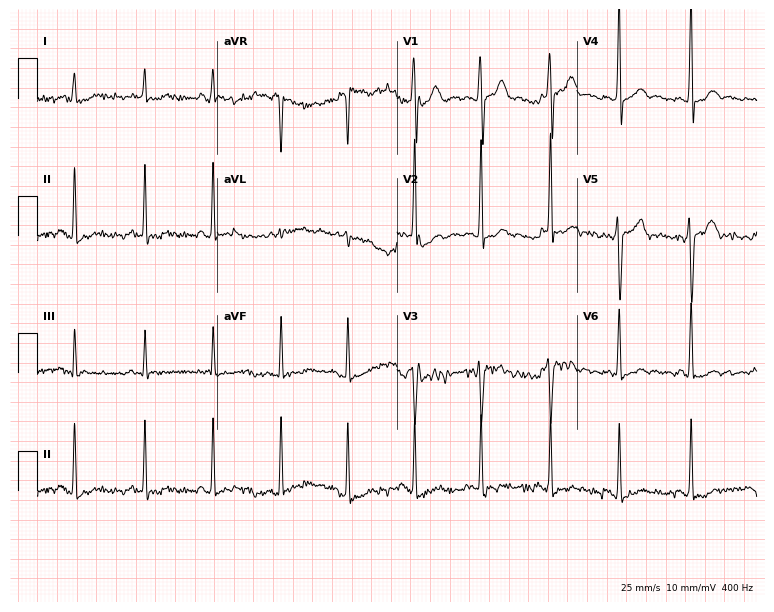
Resting 12-lead electrocardiogram (7.3-second recording at 400 Hz). Patient: a 25-year-old man. None of these six findings is recorded: first-degree AV block, right bundle branch block, left bundle branch block, sinus bradycardia, atrial fibrillation, sinus tachycardia. Findings outside these six are not listed.